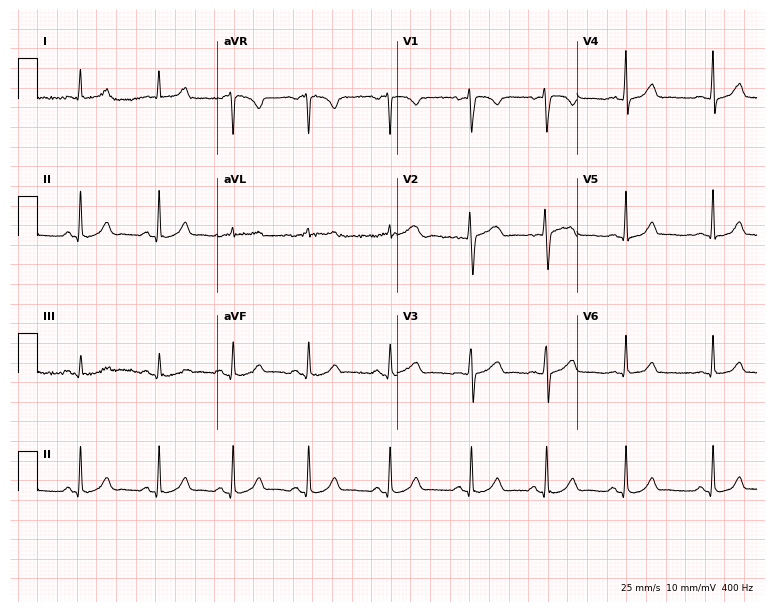
12-lead ECG from a 33-year-old woman (7.3-second recording at 400 Hz). Recorded interpretation: within normal limits.